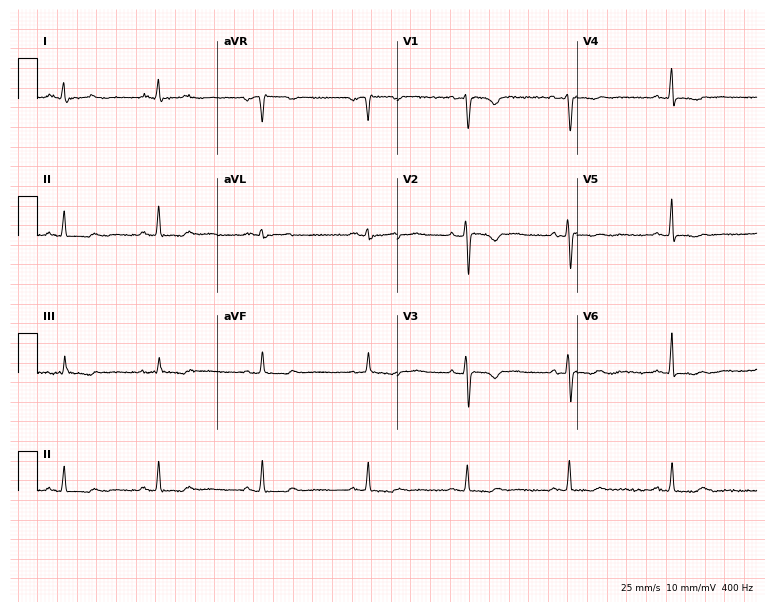
12-lead ECG from a 26-year-old woman (7.3-second recording at 400 Hz). No first-degree AV block, right bundle branch block, left bundle branch block, sinus bradycardia, atrial fibrillation or sinus tachycardia recorded for this tracing. Findings outside these six are not listed.